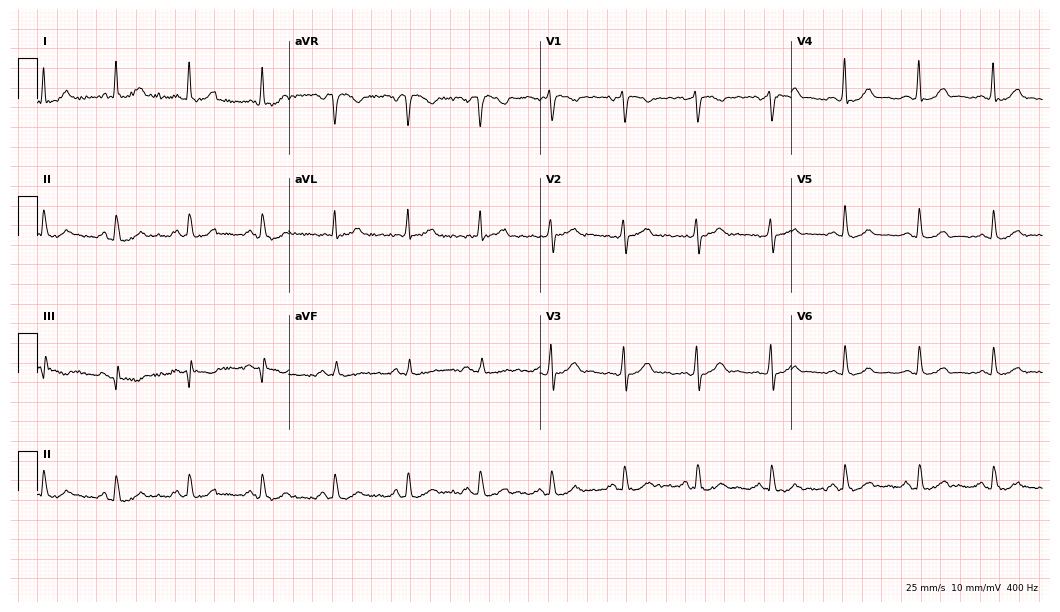
ECG (10.2-second recording at 400 Hz) — a 45-year-old female. Screened for six findings — first-degree AV block, right bundle branch block, left bundle branch block, sinus bradycardia, atrial fibrillation, sinus tachycardia — none is recorded.